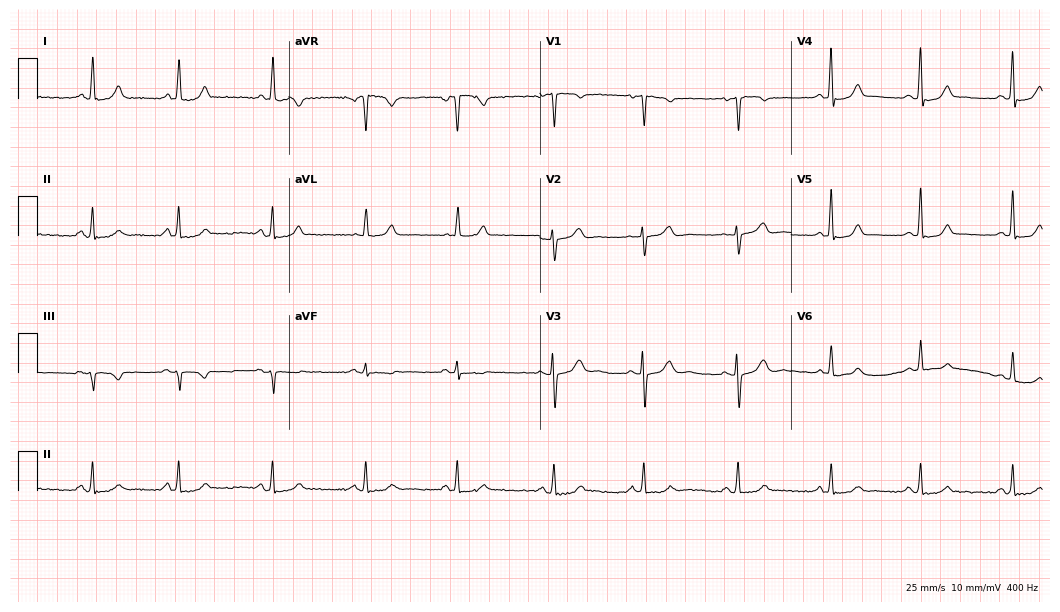
Electrocardiogram (10.2-second recording at 400 Hz), a woman, 35 years old. Overall reading on record: normal ECG.